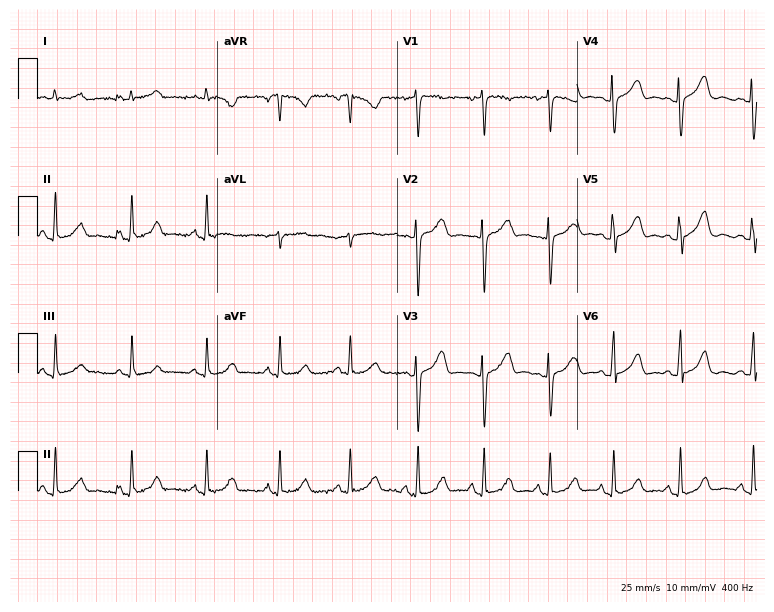
ECG (7.3-second recording at 400 Hz) — a female patient, 31 years old. Labelled as a normal ECG.